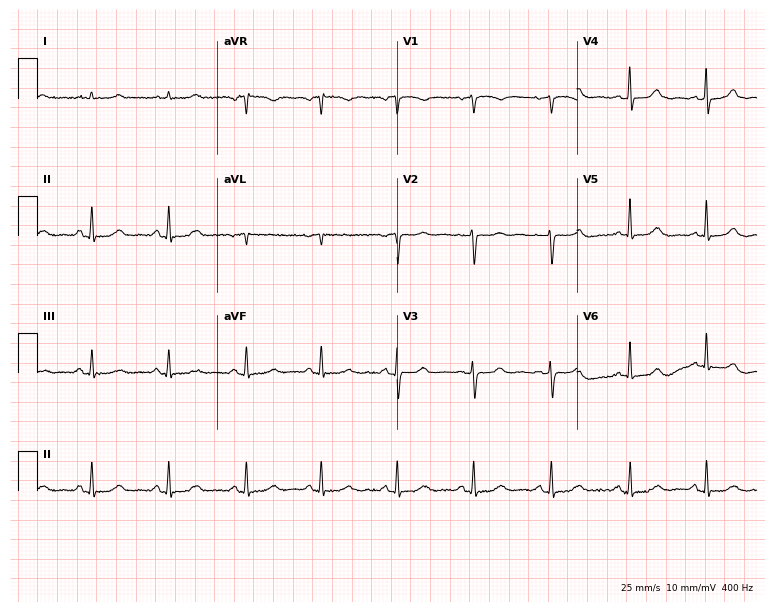
ECG — an 82-year-old woman. Screened for six findings — first-degree AV block, right bundle branch block, left bundle branch block, sinus bradycardia, atrial fibrillation, sinus tachycardia — none is recorded.